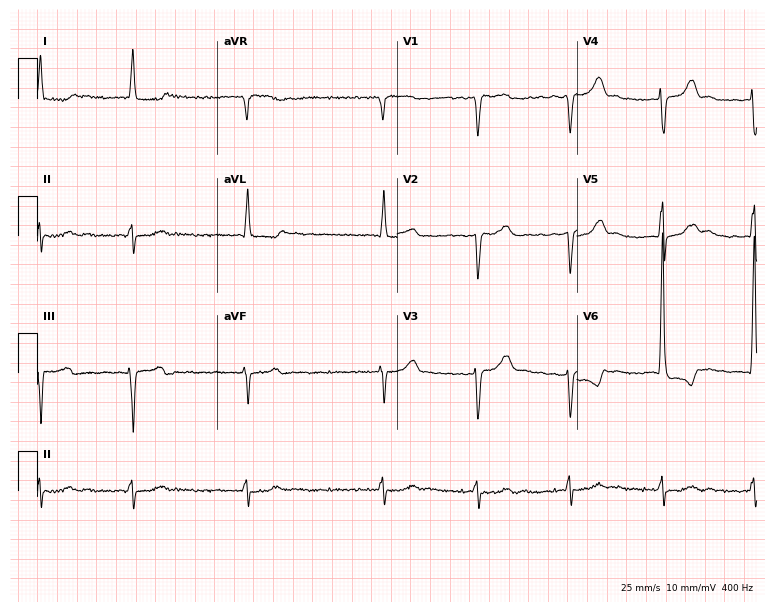
Standard 12-lead ECG recorded from a male, 78 years old. The tracing shows atrial fibrillation.